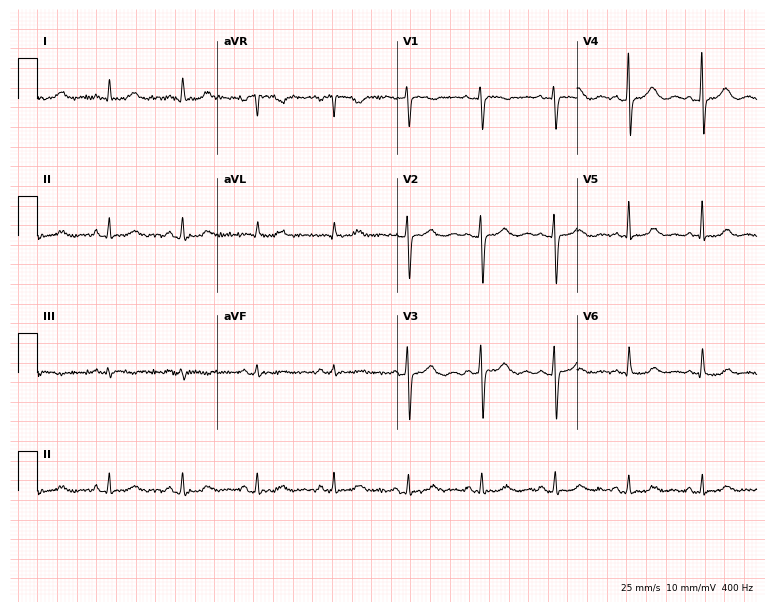
12-lead ECG from a 43-year-old woman. No first-degree AV block, right bundle branch block, left bundle branch block, sinus bradycardia, atrial fibrillation or sinus tachycardia recorded for this tracing.